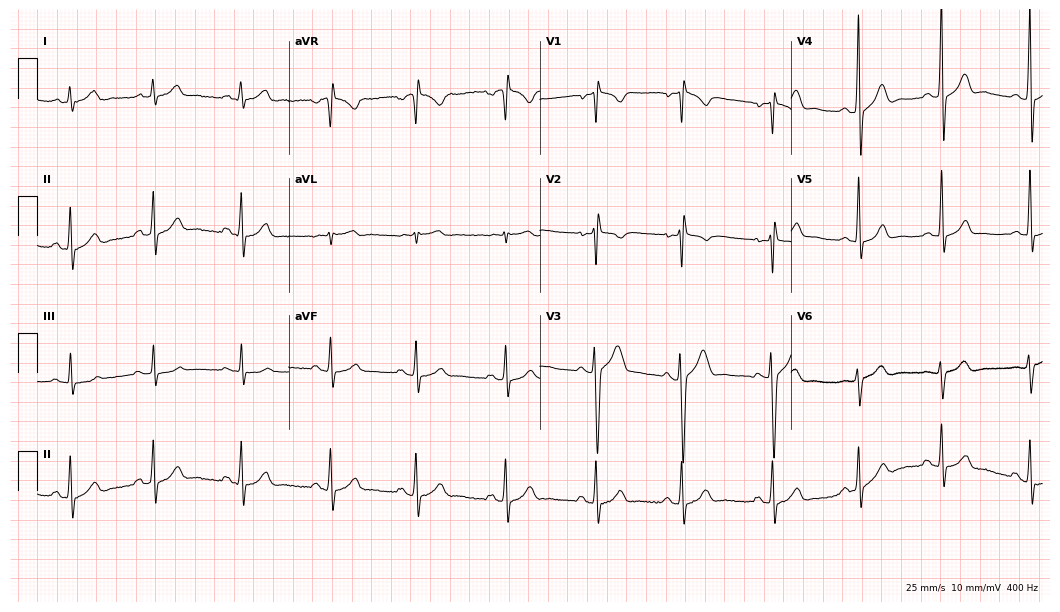
Standard 12-lead ECG recorded from a 23-year-old male (10.2-second recording at 400 Hz). Read as a normal ECG.